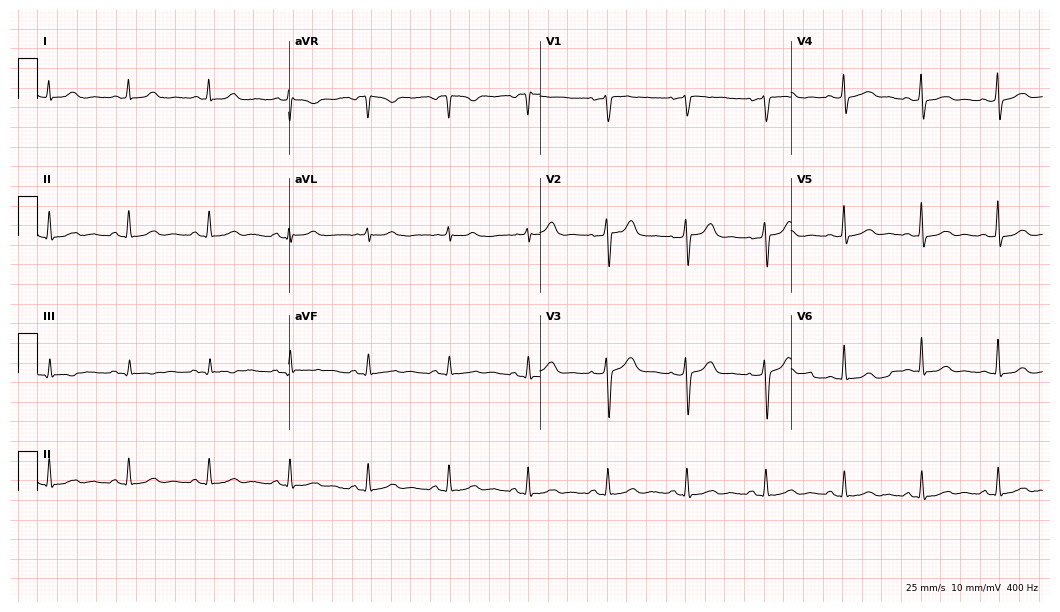
12-lead ECG from a female patient, 45 years old. Screened for six findings — first-degree AV block, right bundle branch block, left bundle branch block, sinus bradycardia, atrial fibrillation, sinus tachycardia — none is recorded.